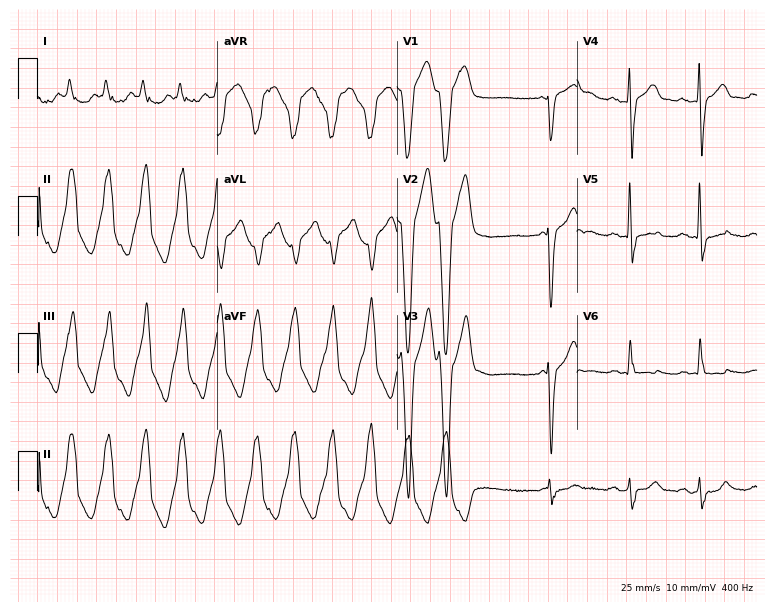
12-lead ECG from a man, 78 years old (7.3-second recording at 400 Hz). Shows atrial fibrillation, sinus tachycardia (a sinus rate of 100 beats per minute or more).